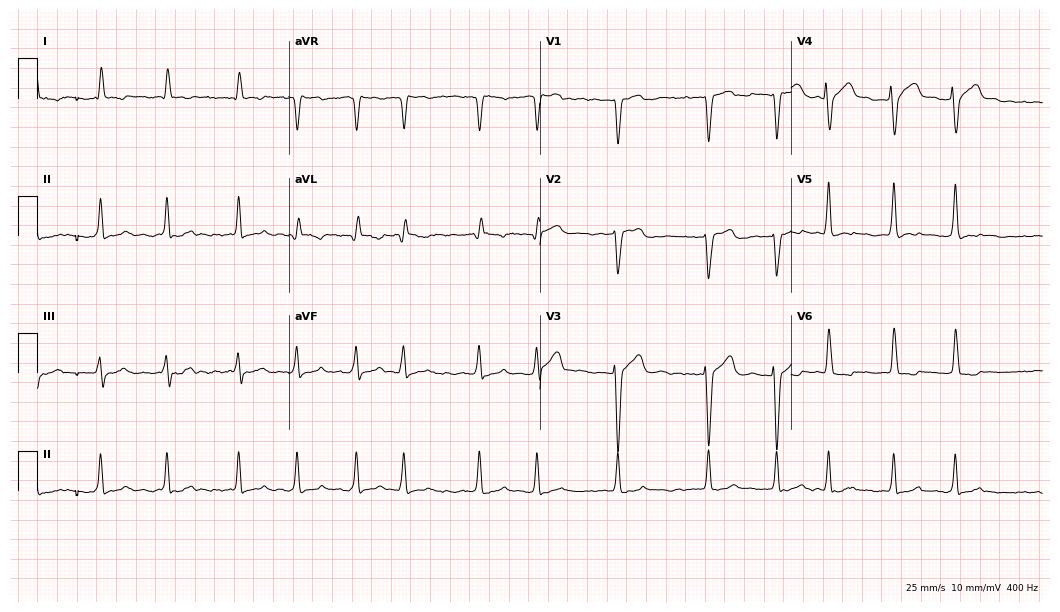
ECG (10.2-second recording at 400 Hz) — a female patient, 81 years old. Findings include atrial fibrillation.